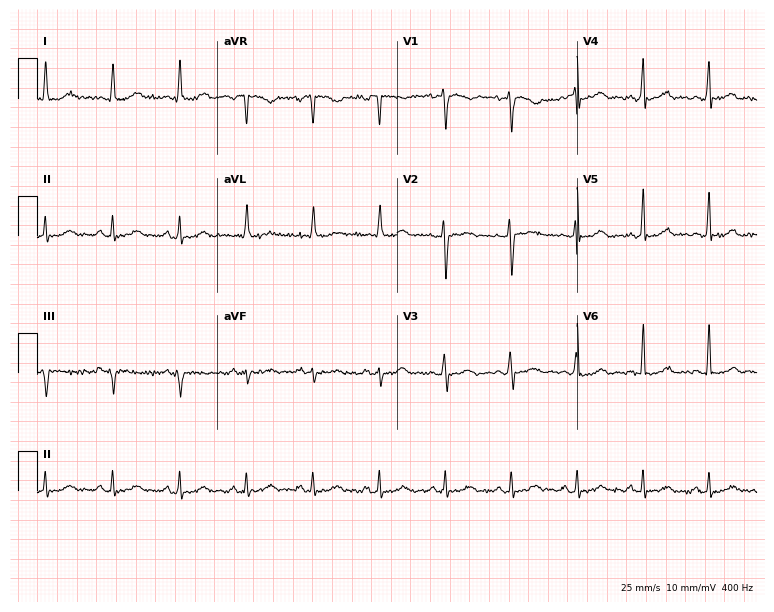
Resting 12-lead electrocardiogram. Patient: a 52-year-old woman. None of these six findings is recorded: first-degree AV block, right bundle branch block, left bundle branch block, sinus bradycardia, atrial fibrillation, sinus tachycardia. Findings outside these six are not listed.